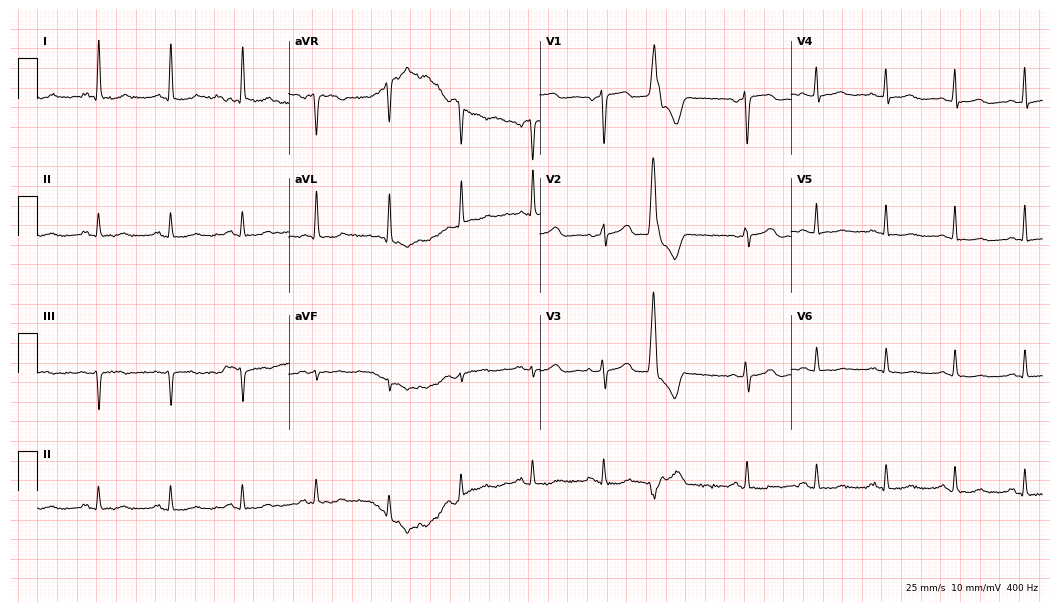
ECG (10.2-second recording at 400 Hz) — a female patient, 69 years old. Labelled as a normal ECG.